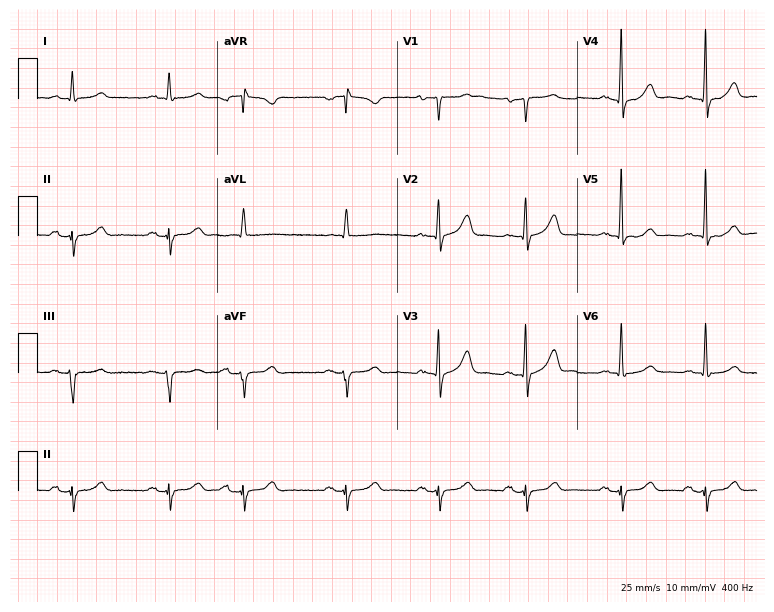
12-lead ECG from an 81-year-old male (7.3-second recording at 400 Hz). No first-degree AV block, right bundle branch block, left bundle branch block, sinus bradycardia, atrial fibrillation or sinus tachycardia recorded for this tracing.